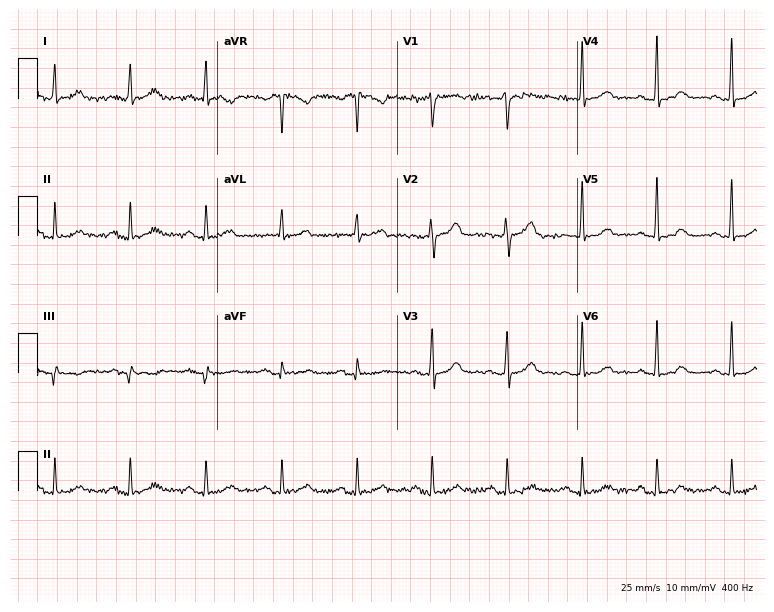
Standard 12-lead ECG recorded from a female patient, 60 years old. Read as a normal ECG.